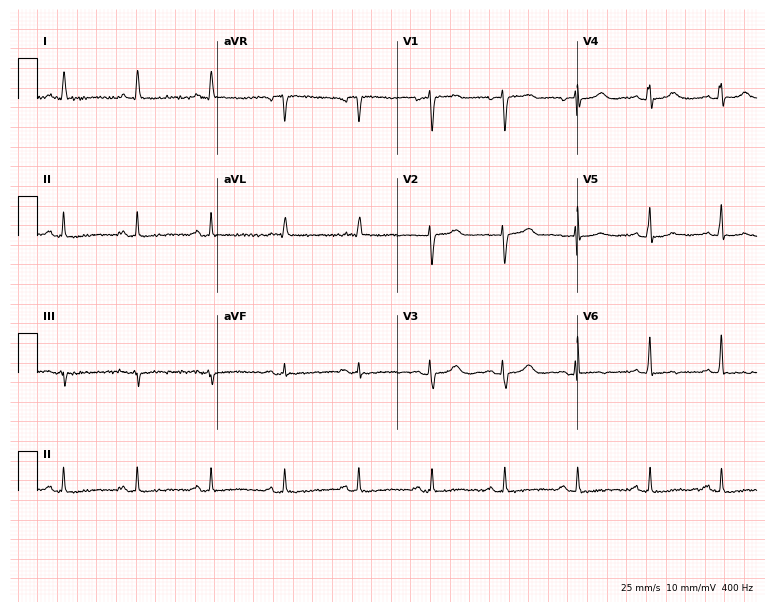
ECG — a woman, 84 years old. Screened for six findings — first-degree AV block, right bundle branch block (RBBB), left bundle branch block (LBBB), sinus bradycardia, atrial fibrillation (AF), sinus tachycardia — none is recorded.